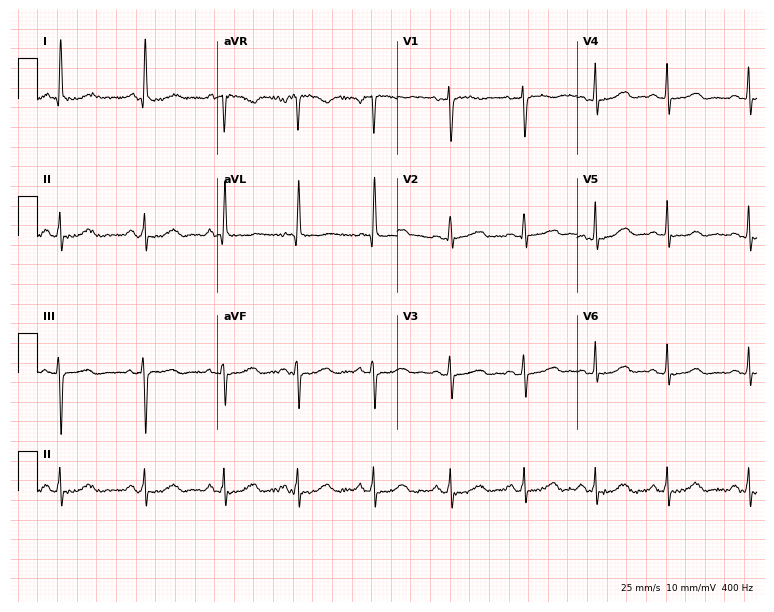
12-lead ECG (7.3-second recording at 400 Hz) from a 65-year-old female patient. Screened for six findings — first-degree AV block, right bundle branch block, left bundle branch block, sinus bradycardia, atrial fibrillation, sinus tachycardia — none is recorded.